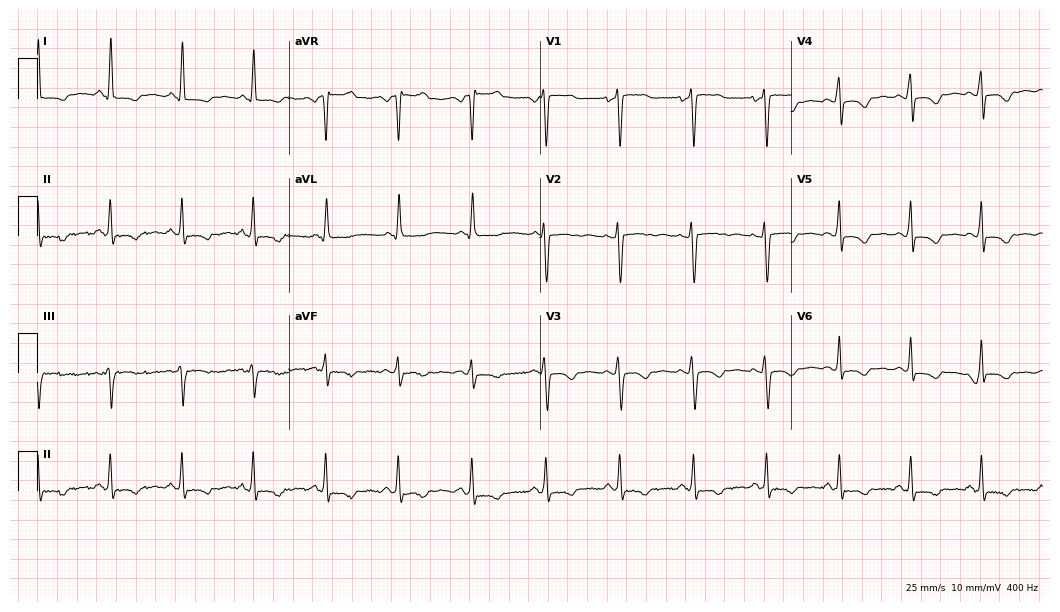
ECG (10.2-second recording at 400 Hz) — a 34-year-old female patient. Screened for six findings — first-degree AV block, right bundle branch block, left bundle branch block, sinus bradycardia, atrial fibrillation, sinus tachycardia — none is recorded. Findings outside these six are not listed.